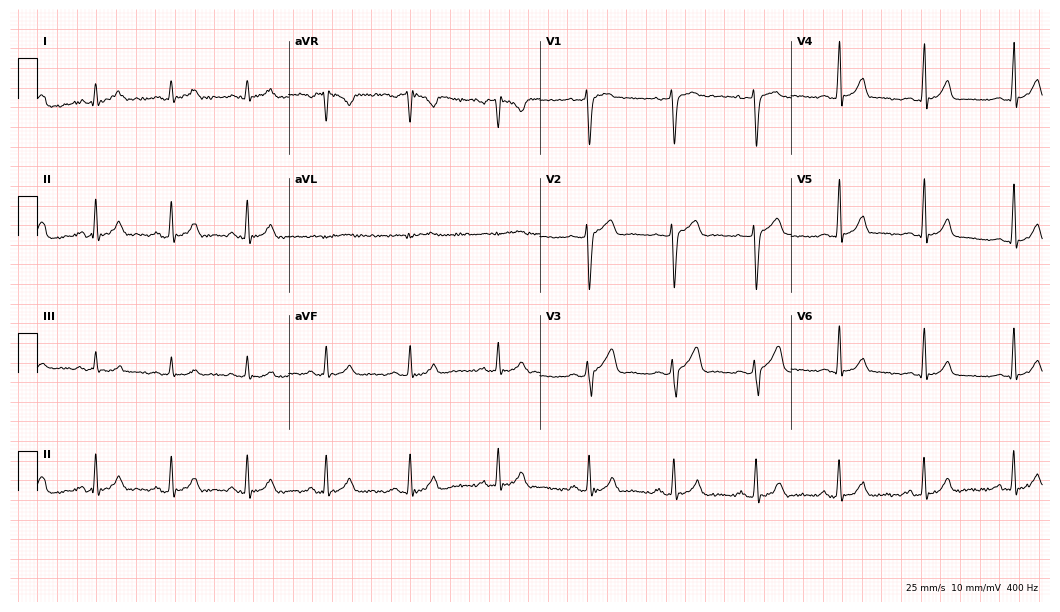
ECG (10.2-second recording at 400 Hz) — an 18-year-old male patient. Labelled as a normal ECG.